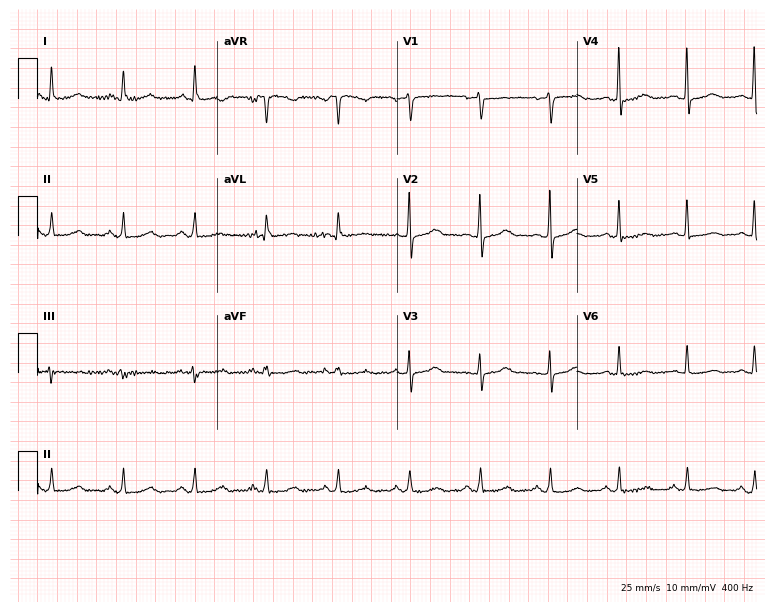
Resting 12-lead electrocardiogram (7.3-second recording at 400 Hz). Patient: a female, 61 years old. Read as a normal ECG.